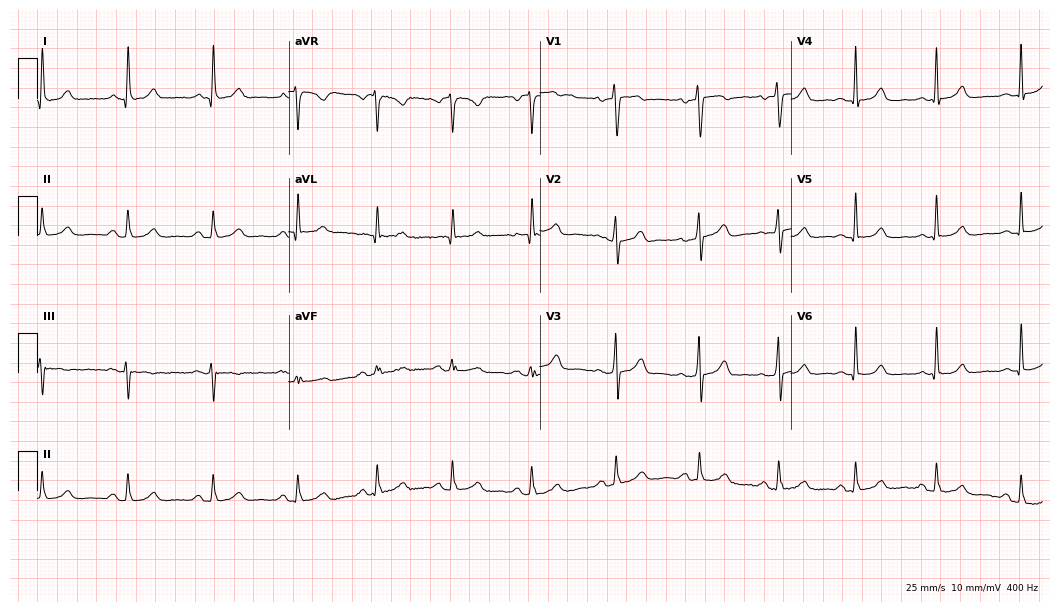
ECG (10.2-second recording at 400 Hz) — a female patient, 54 years old. Labelled as a normal ECG.